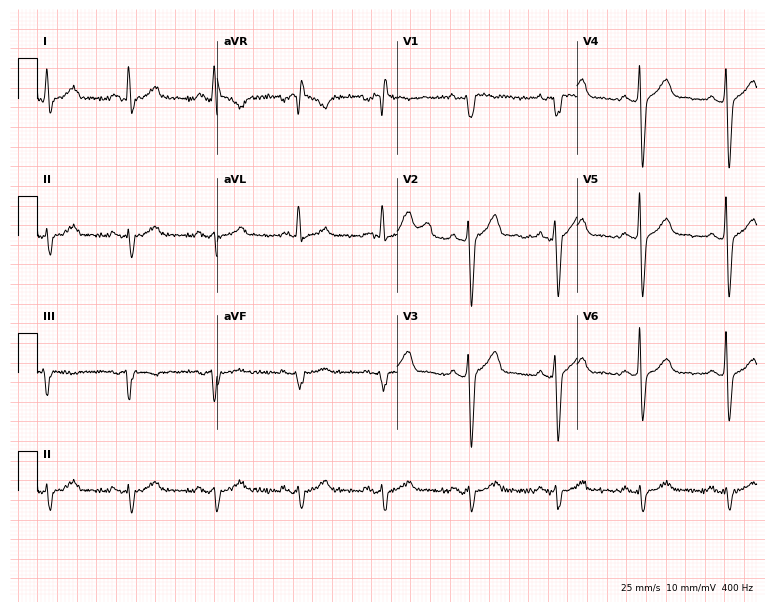
12-lead ECG (7.3-second recording at 400 Hz) from a 43-year-old male. Screened for six findings — first-degree AV block, right bundle branch block, left bundle branch block, sinus bradycardia, atrial fibrillation, sinus tachycardia — none is recorded. Findings outside these six are not listed.